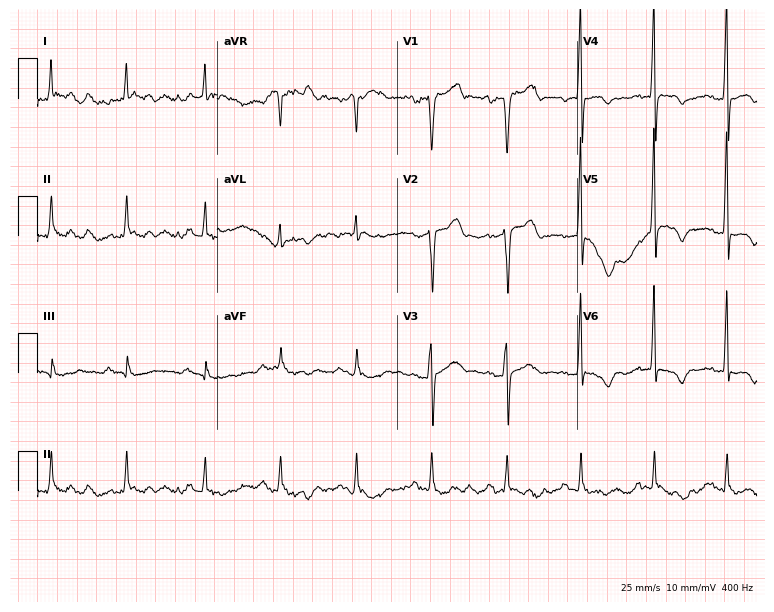
Resting 12-lead electrocardiogram. Patient: a 45-year-old man. None of these six findings is recorded: first-degree AV block, right bundle branch block, left bundle branch block, sinus bradycardia, atrial fibrillation, sinus tachycardia. Only these six findings were labelled.